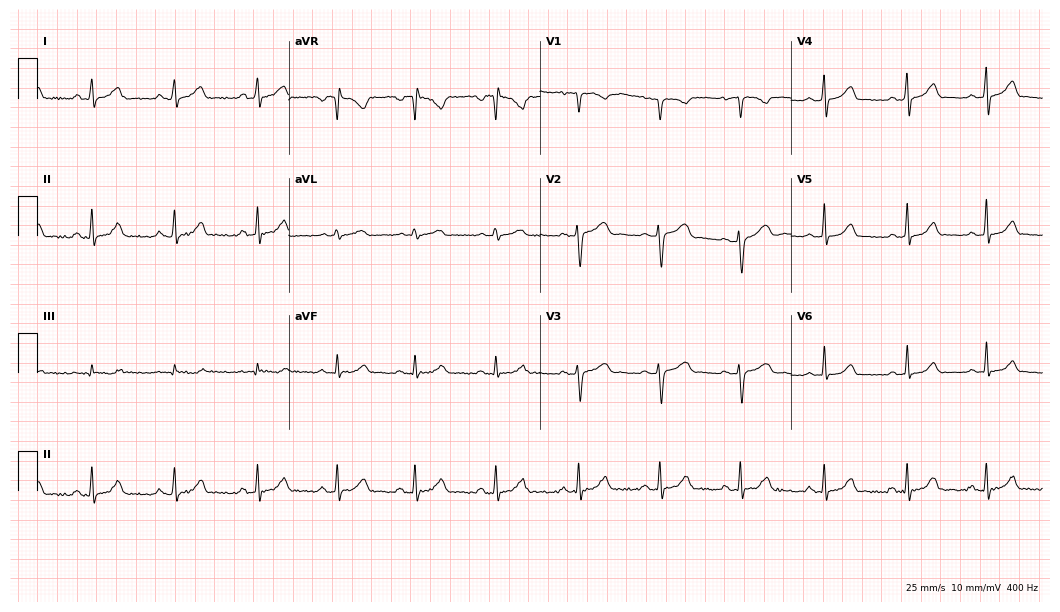
Electrocardiogram, a 27-year-old female. Overall reading on record: normal ECG.